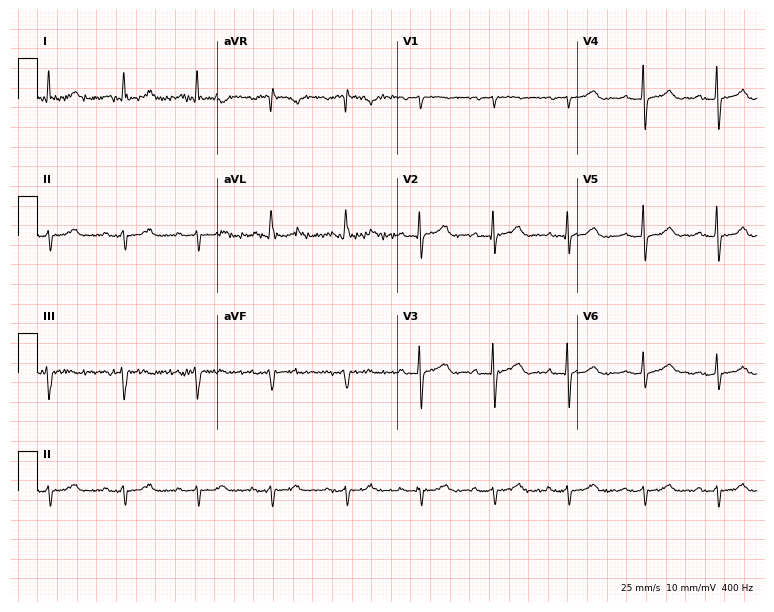
12-lead ECG from an 81-year-old female patient. Screened for six findings — first-degree AV block, right bundle branch block, left bundle branch block, sinus bradycardia, atrial fibrillation, sinus tachycardia — none is recorded.